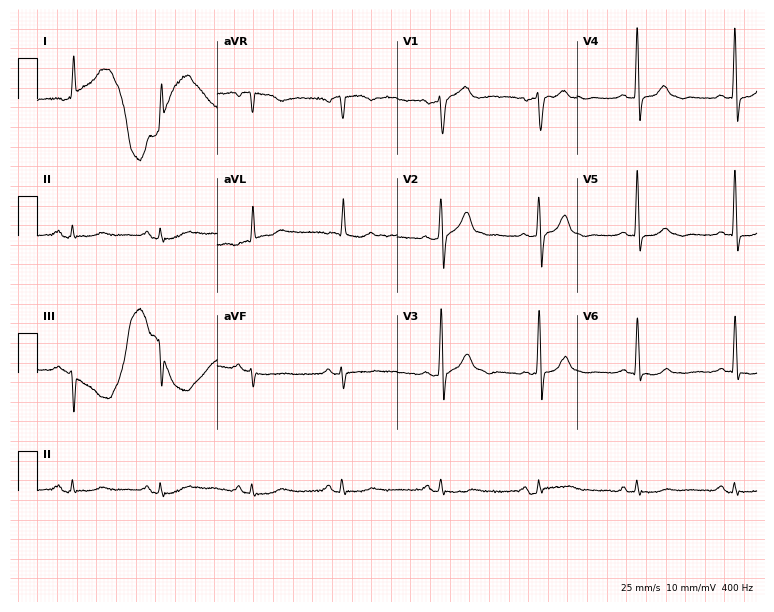
Resting 12-lead electrocardiogram (7.3-second recording at 400 Hz). Patient: a 63-year-old male. None of these six findings is recorded: first-degree AV block, right bundle branch block, left bundle branch block, sinus bradycardia, atrial fibrillation, sinus tachycardia. Findings outside these six are not listed.